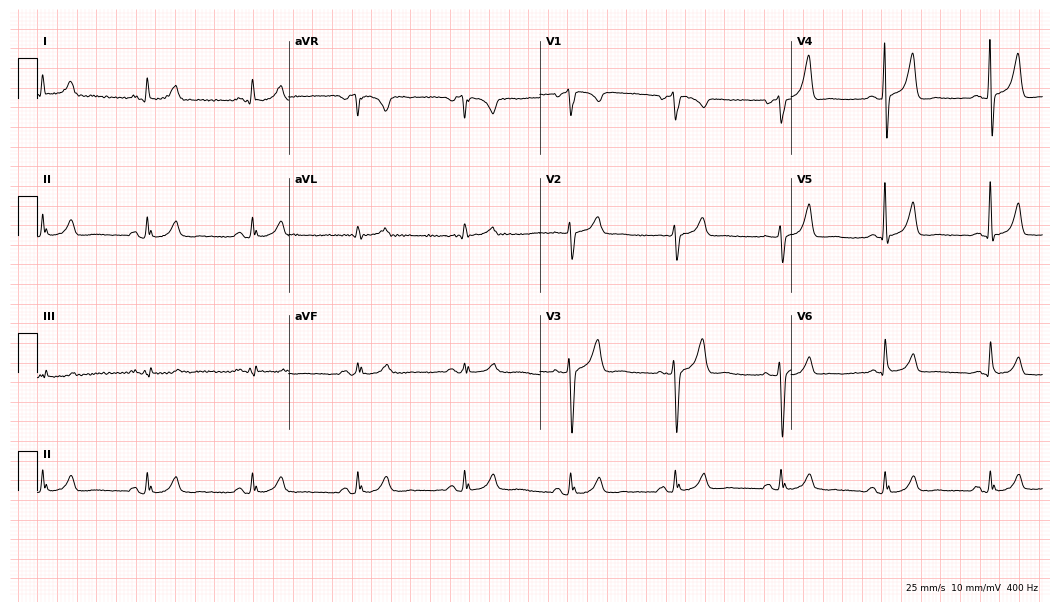
12-lead ECG from a male, 61 years old. Recorded interpretation: within normal limits.